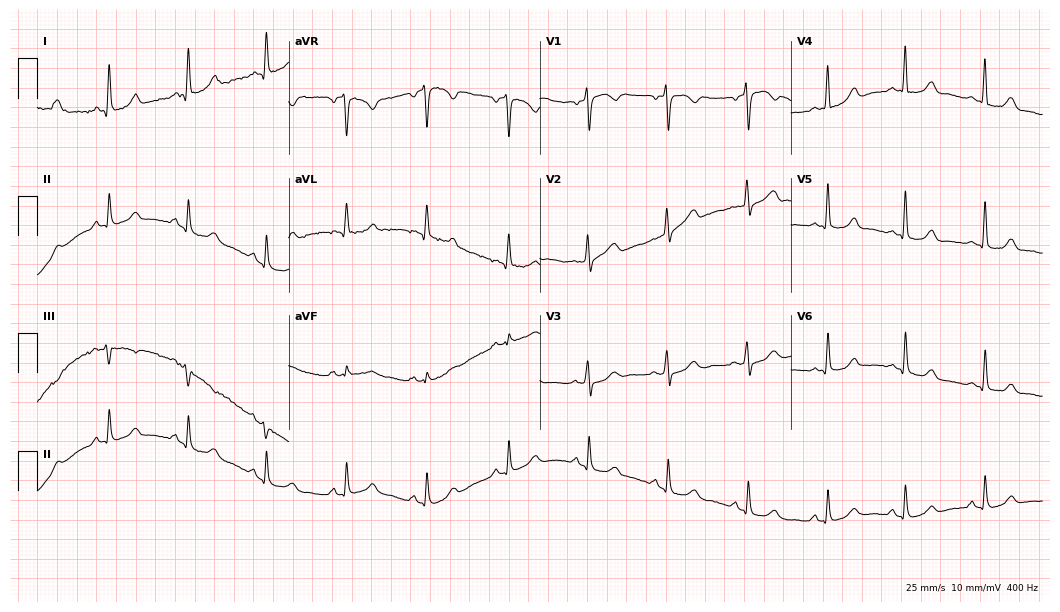
Standard 12-lead ECG recorded from a 54-year-old woman (10.2-second recording at 400 Hz). Read as a normal ECG.